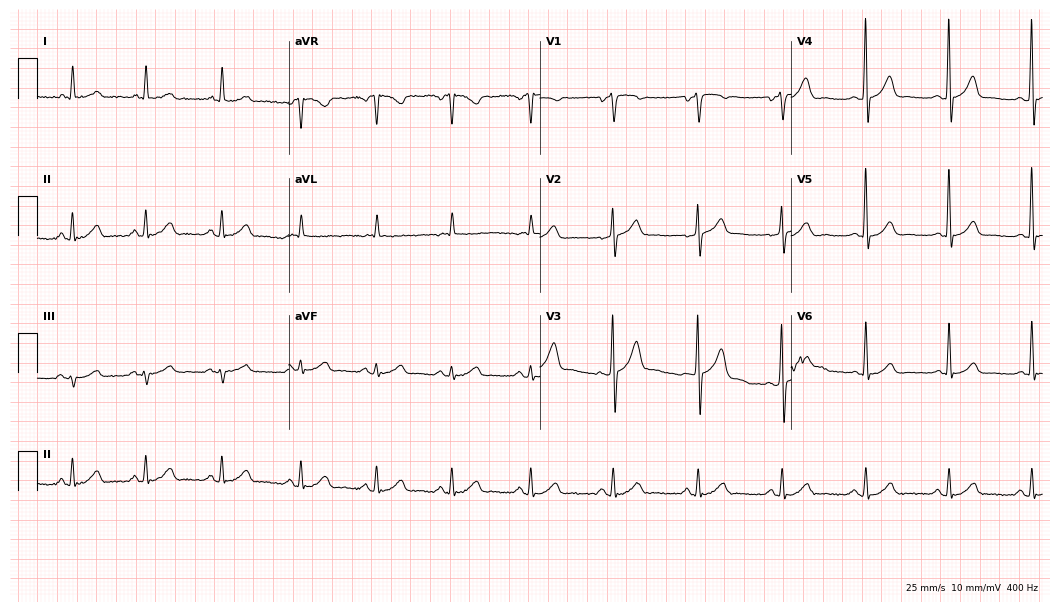
12-lead ECG from a male patient, 70 years old. Labelled as a normal ECG.